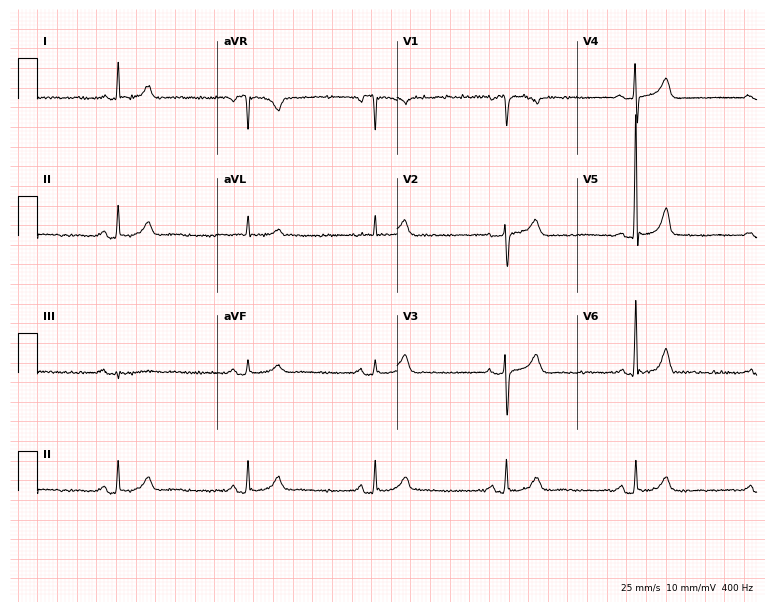
Resting 12-lead electrocardiogram. Patient: an 83-year-old man. The tracing shows sinus bradycardia (a sinus rate of 50 beats per minute or less).